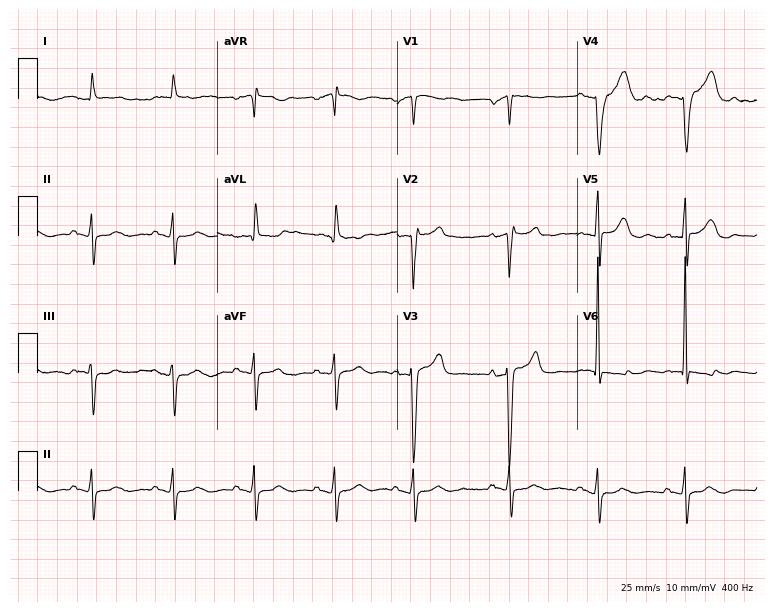
ECG — a female, 69 years old. Screened for six findings — first-degree AV block, right bundle branch block, left bundle branch block, sinus bradycardia, atrial fibrillation, sinus tachycardia — none is recorded. Findings outside these six are not listed.